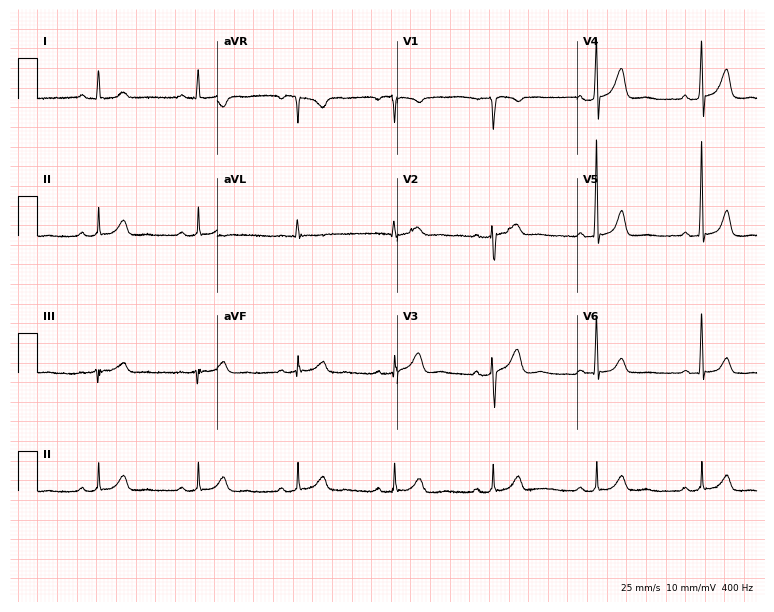
12-lead ECG (7.3-second recording at 400 Hz) from a 65-year-old male patient. Screened for six findings — first-degree AV block, right bundle branch block, left bundle branch block, sinus bradycardia, atrial fibrillation, sinus tachycardia — none is recorded.